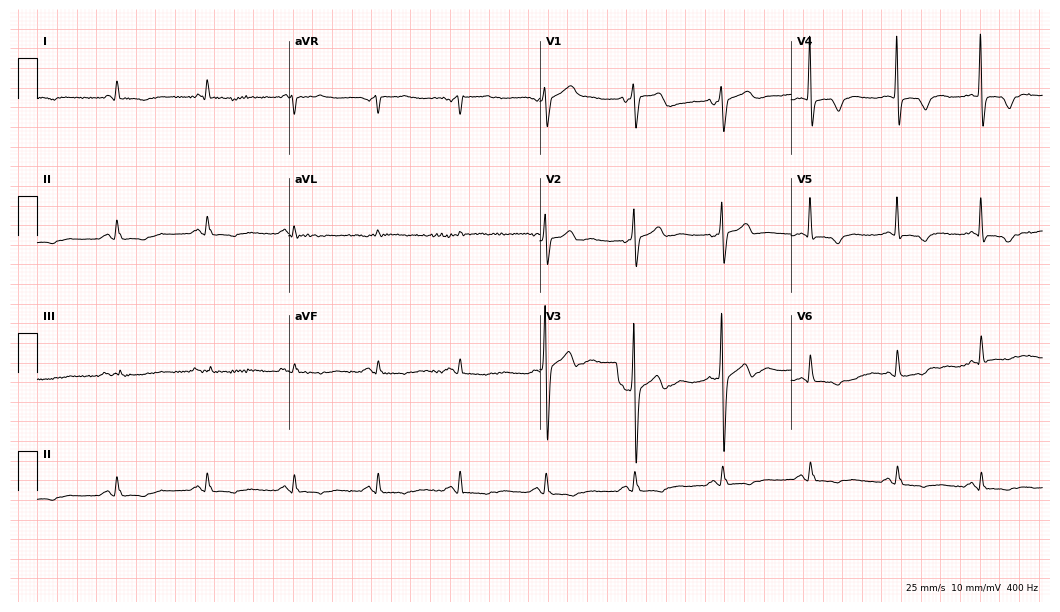
Standard 12-lead ECG recorded from a 64-year-old man (10.2-second recording at 400 Hz). None of these six findings is recorded: first-degree AV block, right bundle branch block, left bundle branch block, sinus bradycardia, atrial fibrillation, sinus tachycardia. Findings outside these six are not listed.